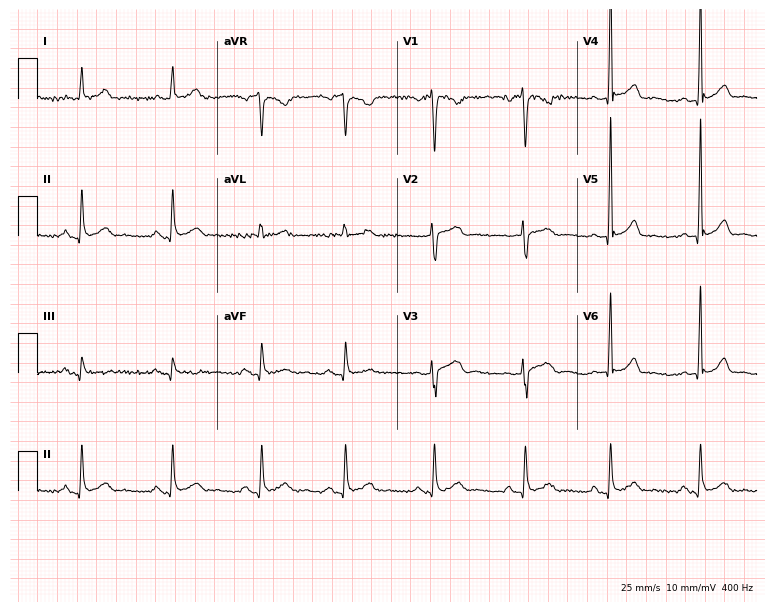
12-lead ECG (7.3-second recording at 400 Hz) from a 44-year-old male patient. Labelled as a normal ECG.